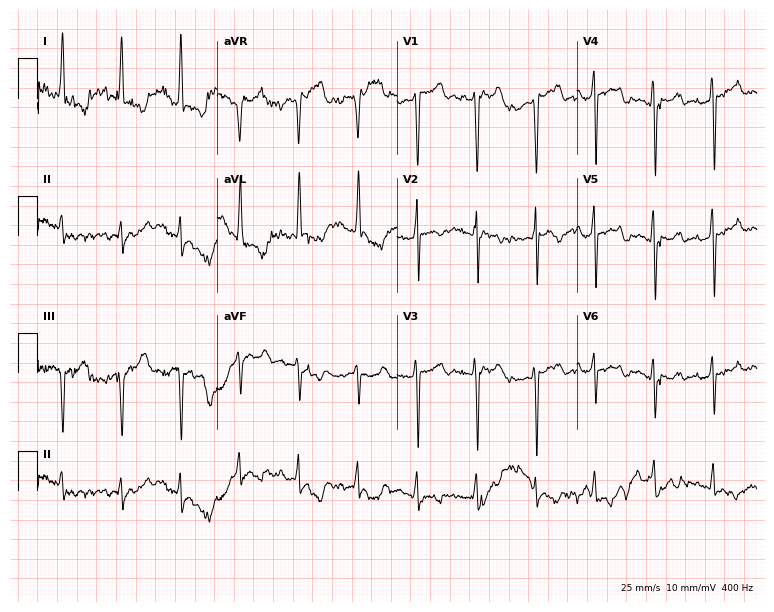
Electrocardiogram (7.3-second recording at 400 Hz), a male, 67 years old. Of the six screened findings (first-degree AV block, right bundle branch block, left bundle branch block, sinus bradycardia, atrial fibrillation, sinus tachycardia), none is recorded. Only these six findings were labelled.